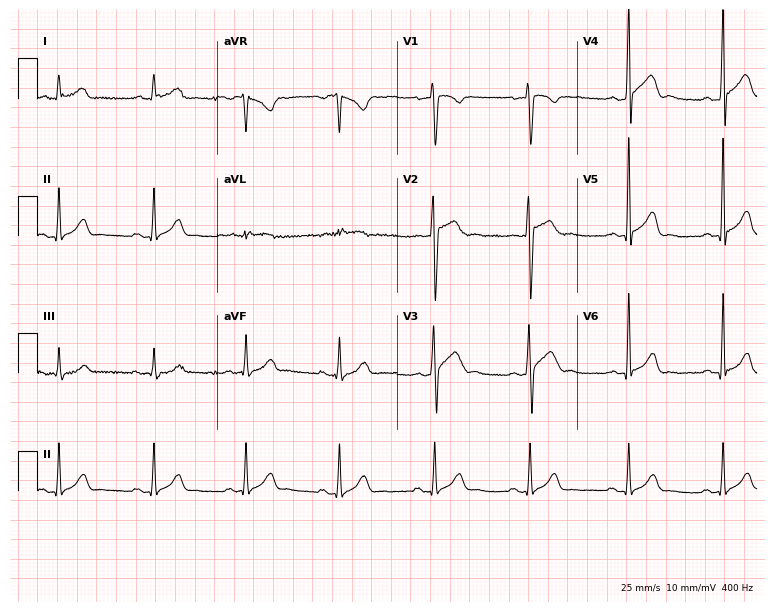
Resting 12-lead electrocardiogram (7.3-second recording at 400 Hz). Patient: a male, 46 years old. None of these six findings is recorded: first-degree AV block, right bundle branch block, left bundle branch block, sinus bradycardia, atrial fibrillation, sinus tachycardia.